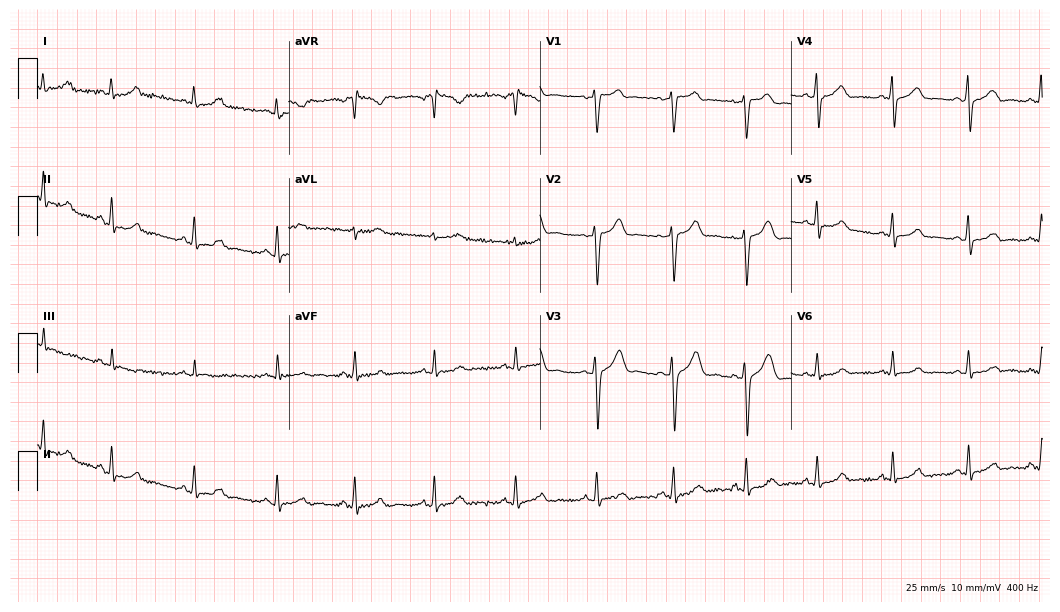
Resting 12-lead electrocardiogram. Patient: a female, 38 years old. None of these six findings is recorded: first-degree AV block, right bundle branch block, left bundle branch block, sinus bradycardia, atrial fibrillation, sinus tachycardia.